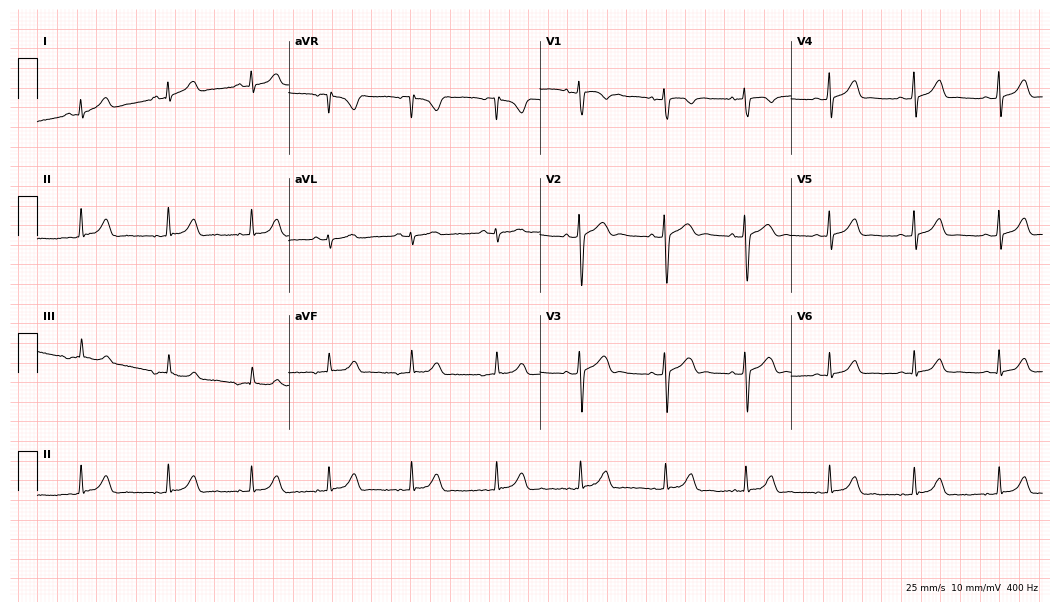
ECG — a 19-year-old woman. Labelled as a normal ECG.